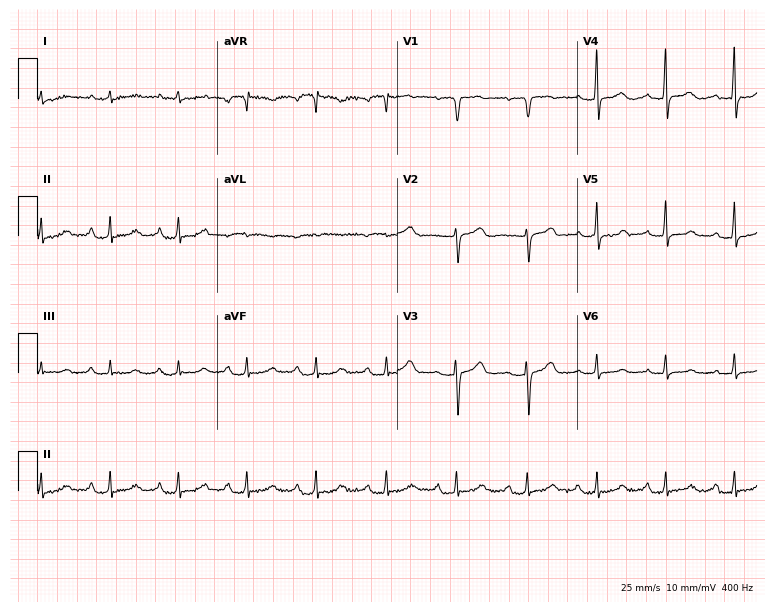
ECG — a 67-year-old female patient. Screened for six findings — first-degree AV block, right bundle branch block (RBBB), left bundle branch block (LBBB), sinus bradycardia, atrial fibrillation (AF), sinus tachycardia — none is recorded.